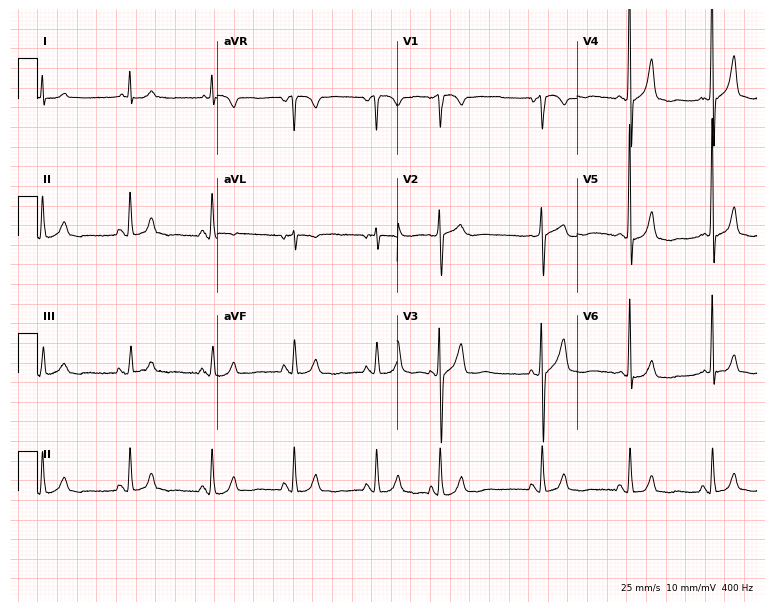
12-lead ECG from a female patient, 75 years old (7.3-second recording at 400 Hz). Recorded interpretation: within normal limits.